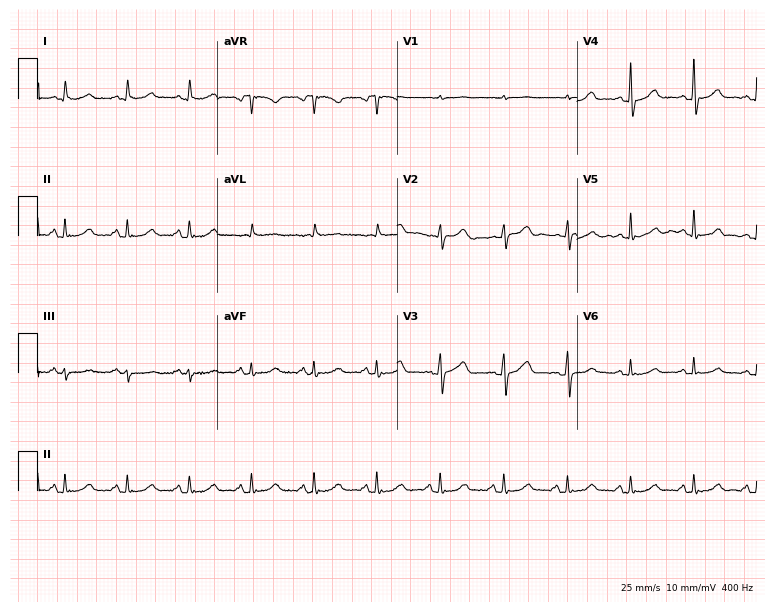
Resting 12-lead electrocardiogram (7.3-second recording at 400 Hz). Patient: a 59-year-old female. Read as a normal ECG.